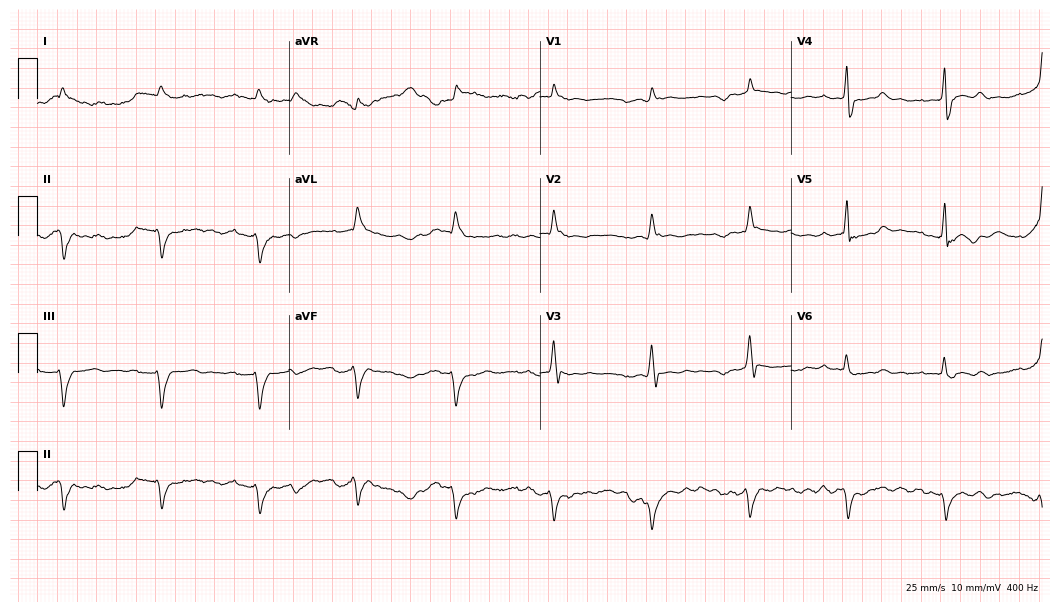
Resting 12-lead electrocardiogram. Patient: a man, 72 years old. None of these six findings is recorded: first-degree AV block, right bundle branch block, left bundle branch block, sinus bradycardia, atrial fibrillation, sinus tachycardia.